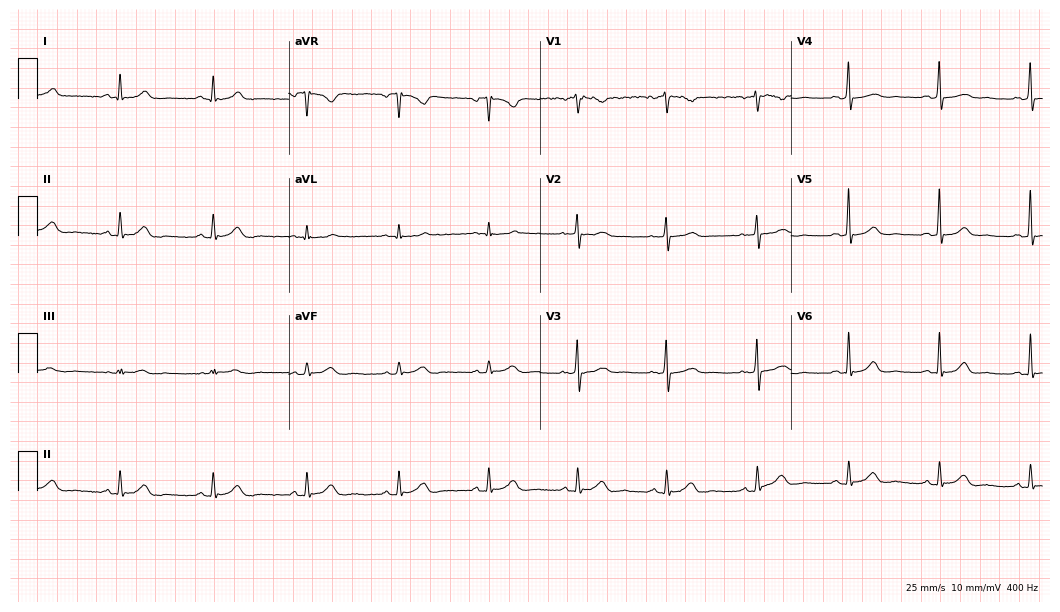
Electrocardiogram, a female patient, 40 years old. Overall reading on record: normal ECG.